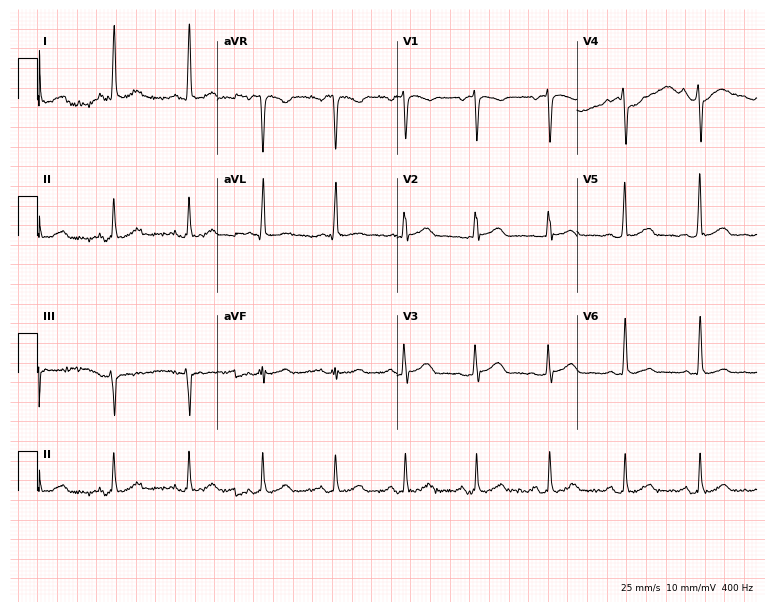
Resting 12-lead electrocardiogram. Patient: a female, 56 years old. Read as a normal ECG.